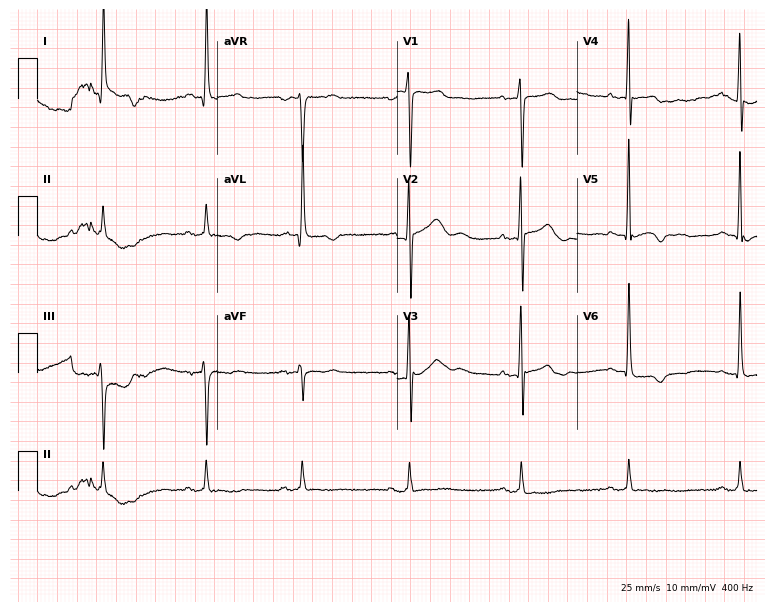
Resting 12-lead electrocardiogram (7.3-second recording at 400 Hz). Patient: a 71-year-old male. None of these six findings is recorded: first-degree AV block, right bundle branch block, left bundle branch block, sinus bradycardia, atrial fibrillation, sinus tachycardia. Findings outside these six are not listed.